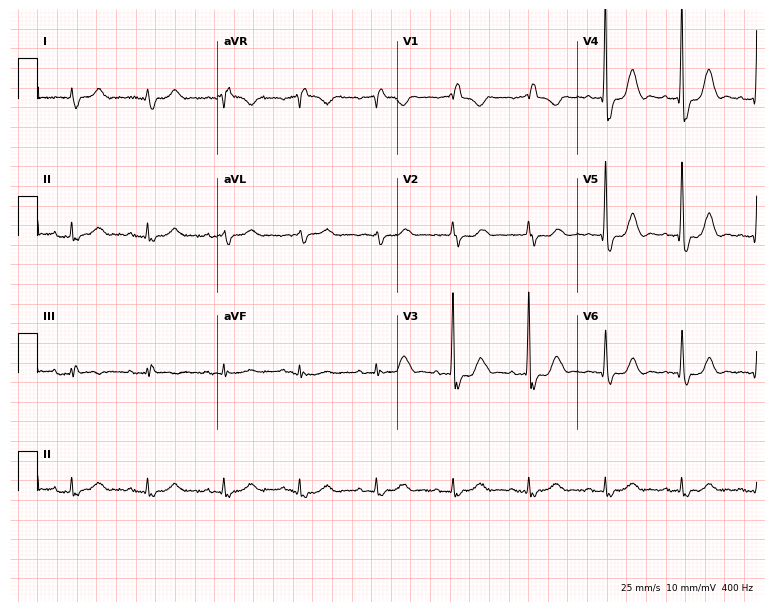
ECG — a man, 84 years old. Findings include right bundle branch block.